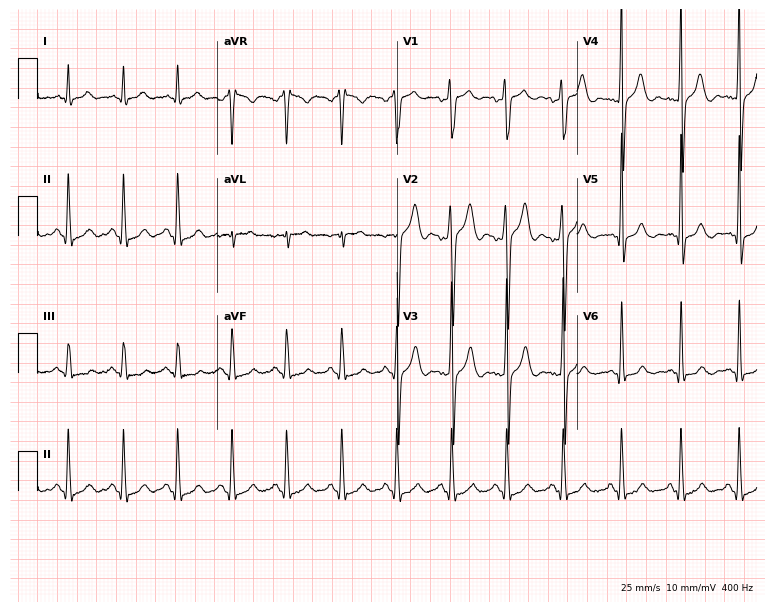
ECG — a 28-year-old male patient. Screened for six findings — first-degree AV block, right bundle branch block, left bundle branch block, sinus bradycardia, atrial fibrillation, sinus tachycardia — none is recorded.